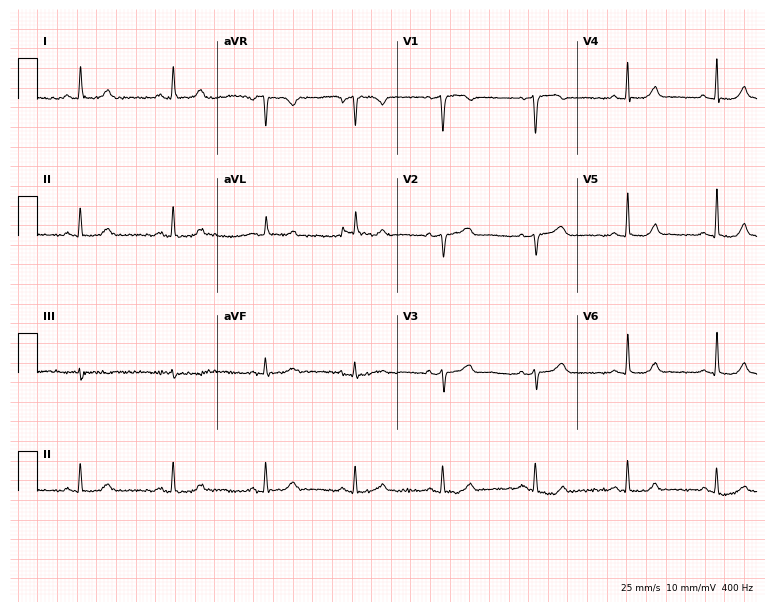
ECG — a woman, 56 years old. Labelled as a normal ECG.